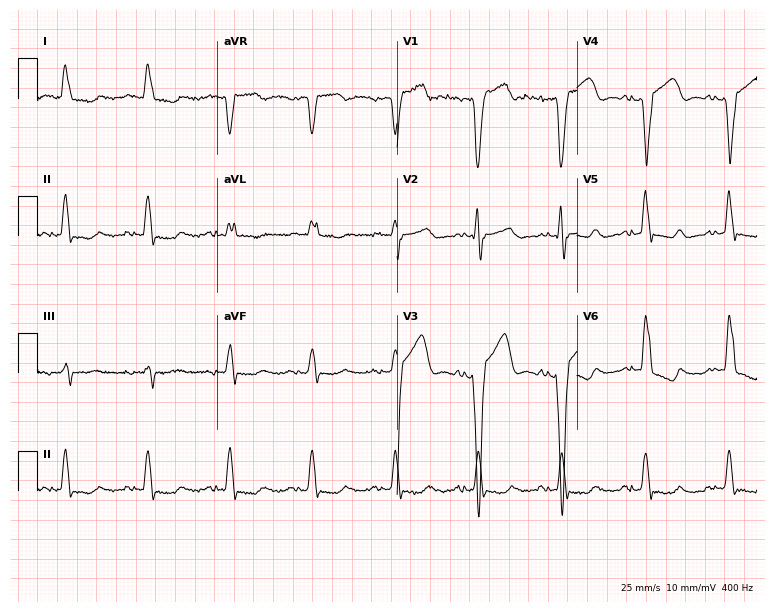
Electrocardiogram (7.3-second recording at 400 Hz), an 80-year-old woman. Interpretation includes left bundle branch block.